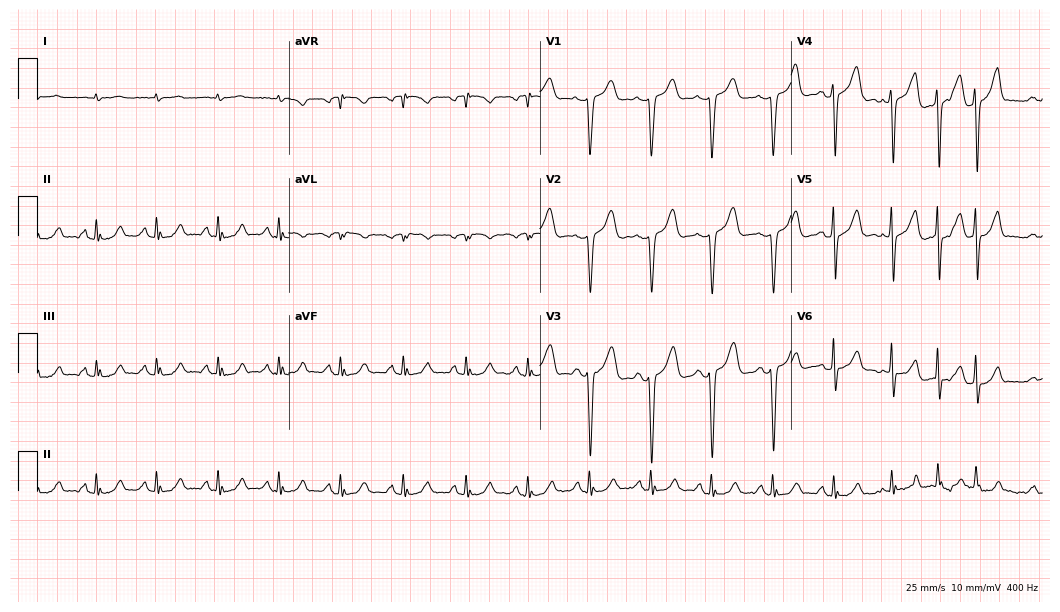
12-lead ECG from a 61-year-old male (10.2-second recording at 400 Hz). No first-degree AV block, right bundle branch block, left bundle branch block, sinus bradycardia, atrial fibrillation or sinus tachycardia recorded for this tracing. Only these six findings were labelled.